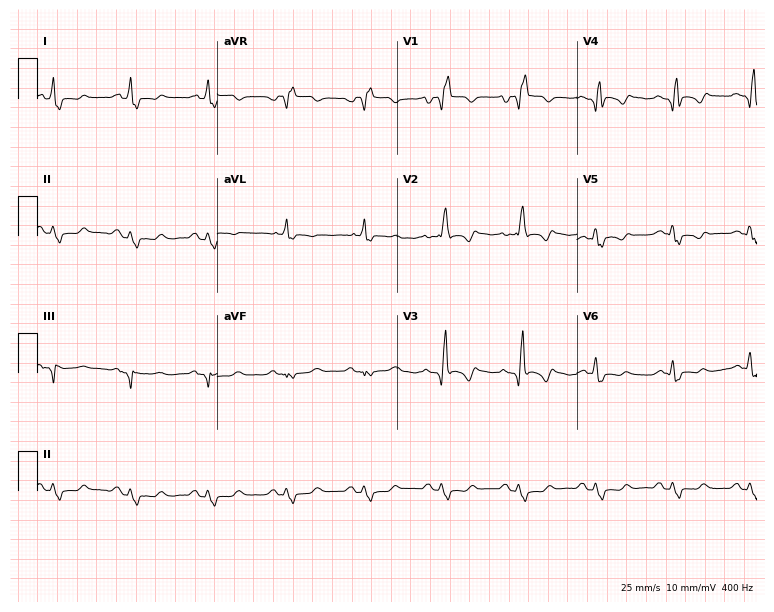
ECG (7.3-second recording at 400 Hz) — a 70-year-old woman. Findings include right bundle branch block.